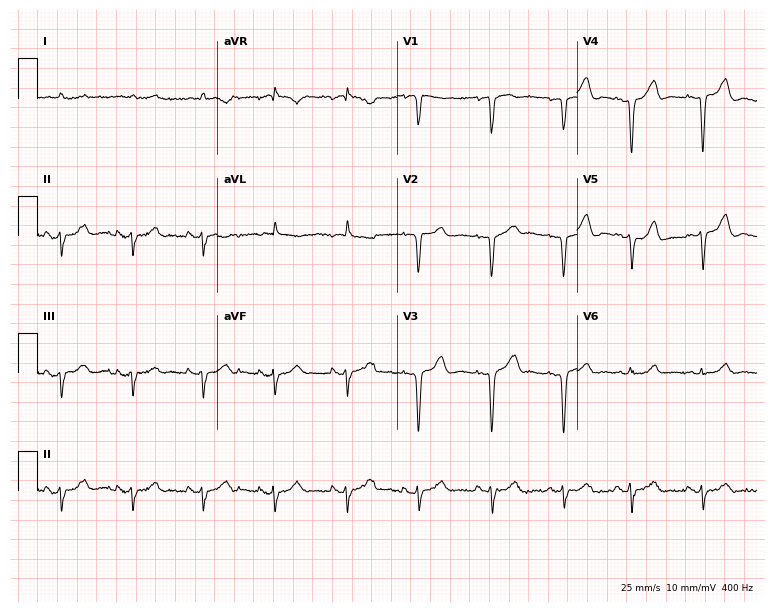
Electrocardiogram (7.3-second recording at 400 Hz), a female patient, 56 years old. Of the six screened findings (first-degree AV block, right bundle branch block, left bundle branch block, sinus bradycardia, atrial fibrillation, sinus tachycardia), none is recorded.